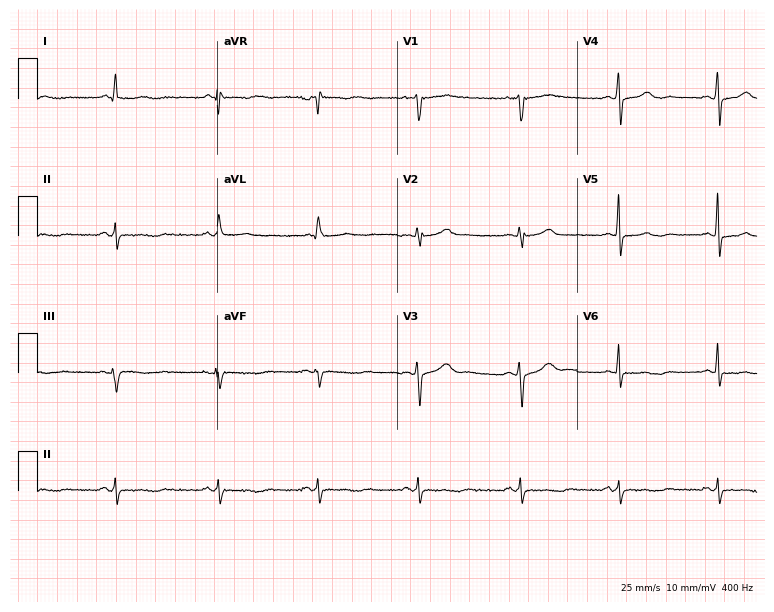
12-lead ECG from a 43-year-old woman. No first-degree AV block, right bundle branch block (RBBB), left bundle branch block (LBBB), sinus bradycardia, atrial fibrillation (AF) or sinus tachycardia recorded for this tracing. Other findings, if any, are not listed.